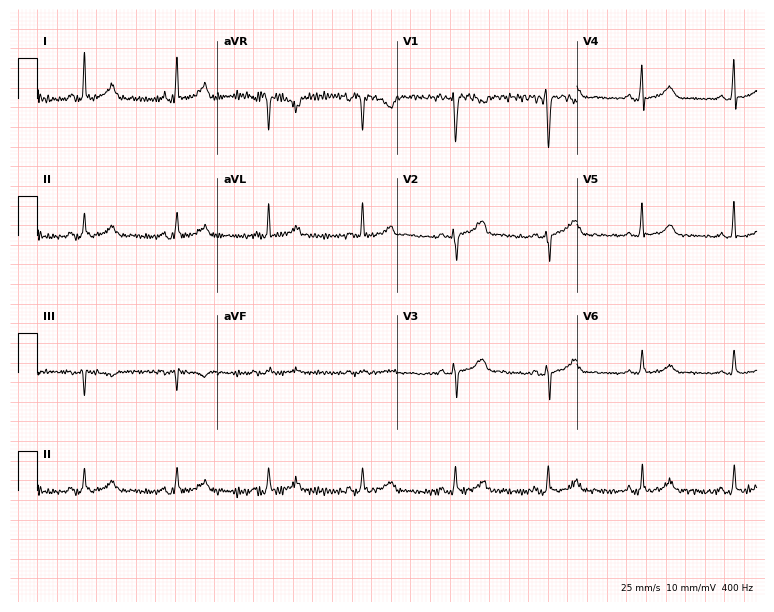
ECG (7.3-second recording at 400 Hz) — a 58-year-old woman. Labelled as a normal ECG.